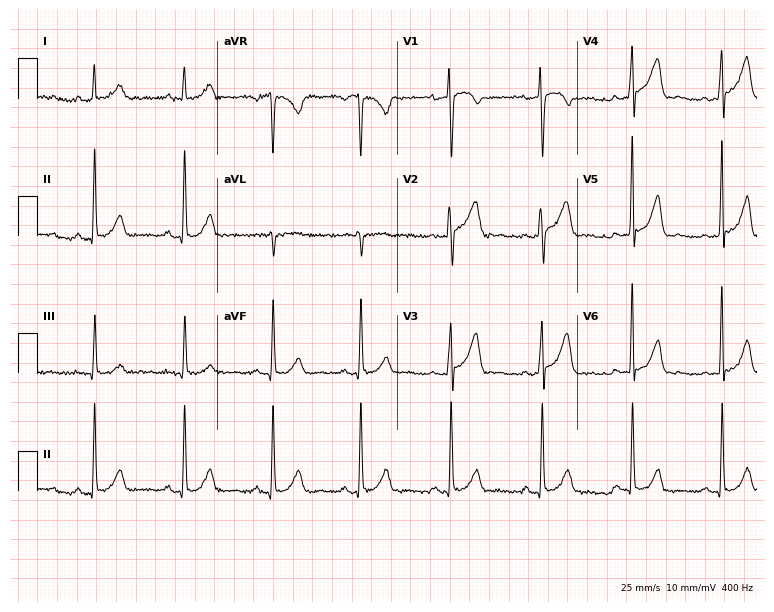
Resting 12-lead electrocardiogram. Patient: a female, 58 years old. None of these six findings is recorded: first-degree AV block, right bundle branch block, left bundle branch block, sinus bradycardia, atrial fibrillation, sinus tachycardia.